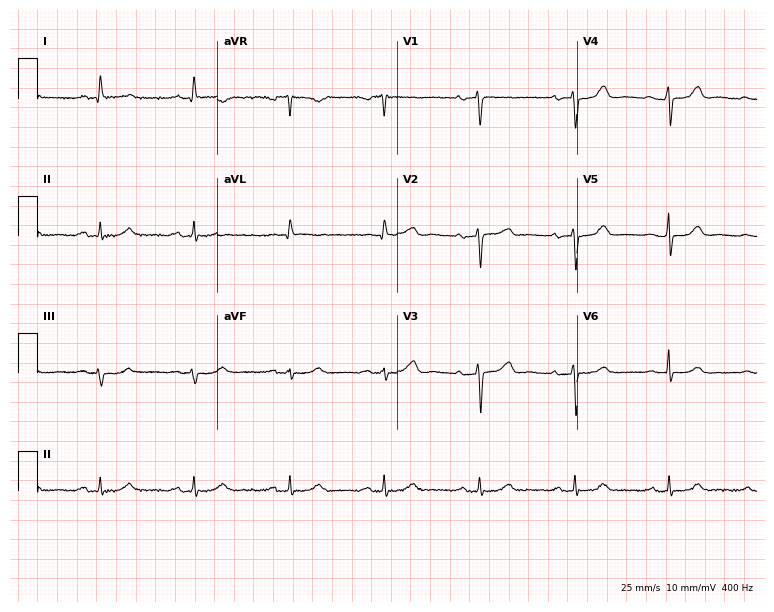
ECG (7.3-second recording at 400 Hz) — a female patient, 56 years old. Labelled as a normal ECG.